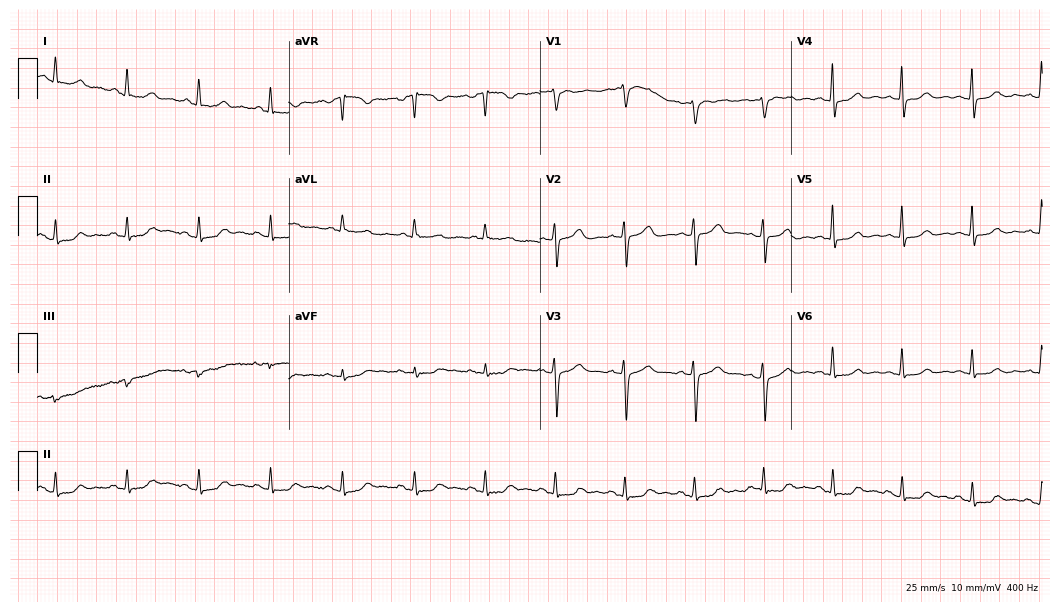
Standard 12-lead ECG recorded from a 60-year-old woman (10.2-second recording at 400 Hz). None of these six findings is recorded: first-degree AV block, right bundle branch block (RBBB), left bundle branch block (LBBB), sinus bradycardia, atrial fibrillation (AF), sinus tachycardia. Only these six findings were labelled.